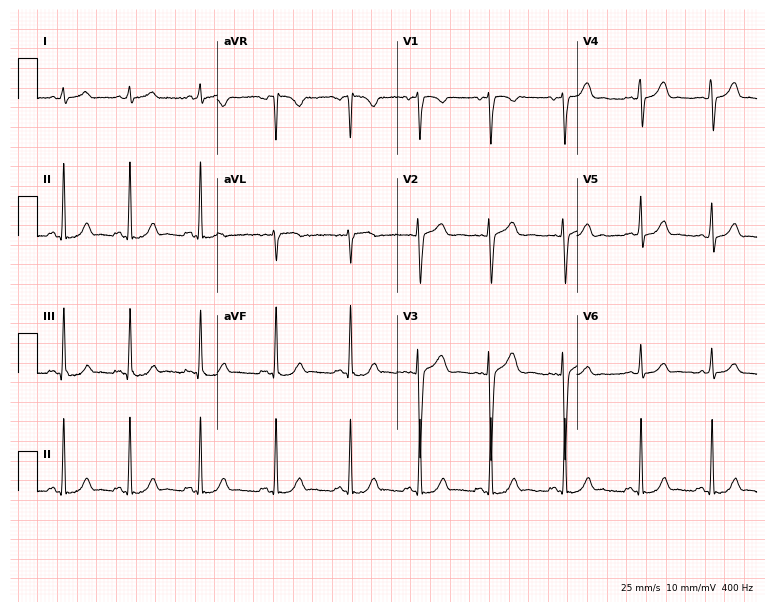
12-lead ECG from a female, 29 years old. Recorded interpretation: within normal limits.